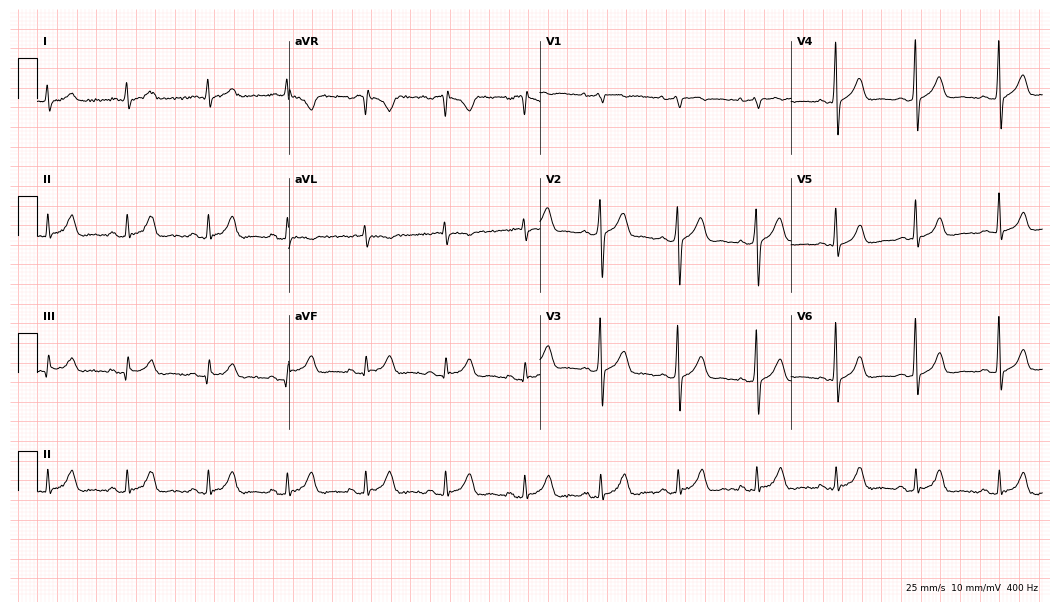
ECG (10.2-second recording at 400 Hz) — a male patient, 42 years old. Labelled as a normal ECG.